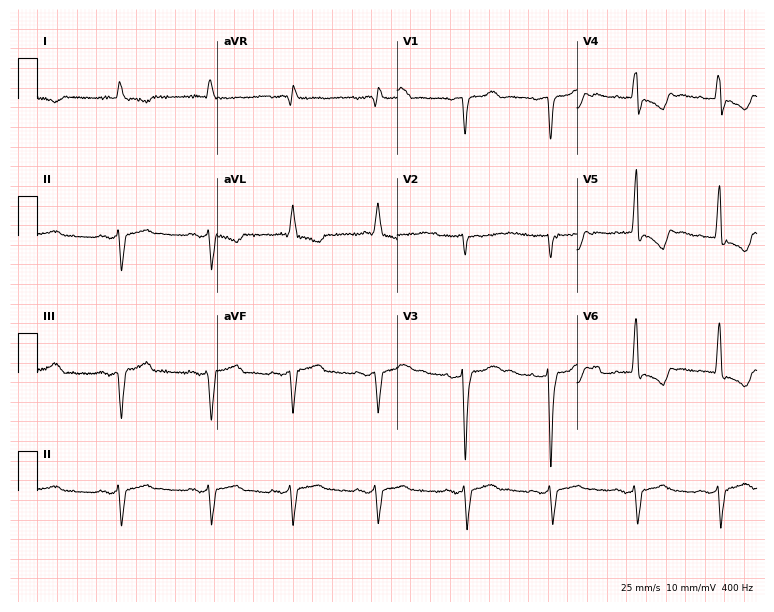
Standard 12-lead ECG recorded from a man, 77 years old. None of these six findings is recorded: first-degree AV block, right bundle branch block, left bundle branch block, sinus bradycardia, atrial fibrillation, sinus tachycardia.